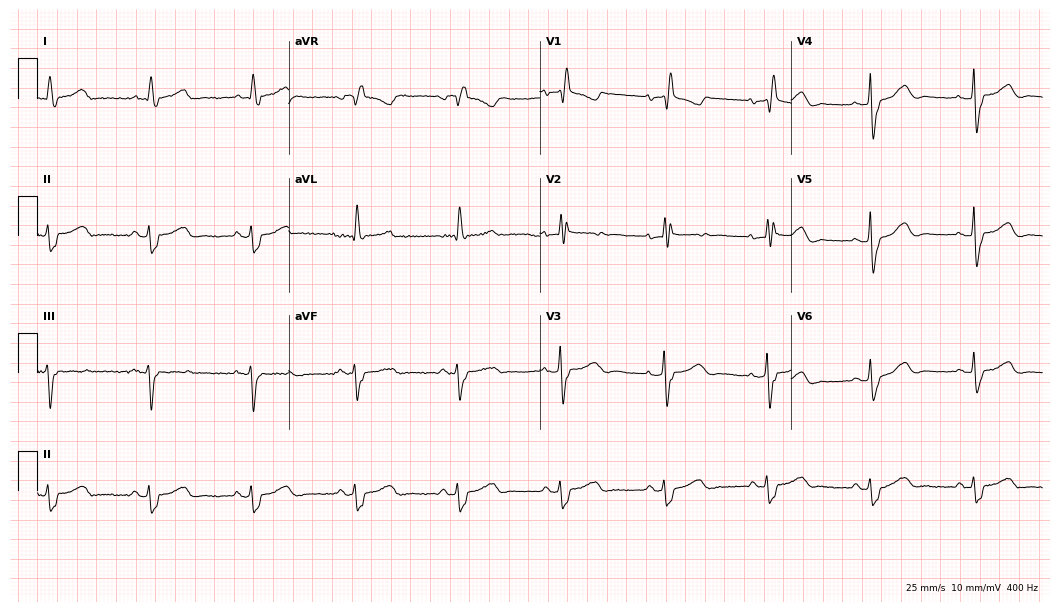
Resting 12-lead electrocardiogram. Patient: a woman, 85 years old. The tracing shows right bundle branch block.